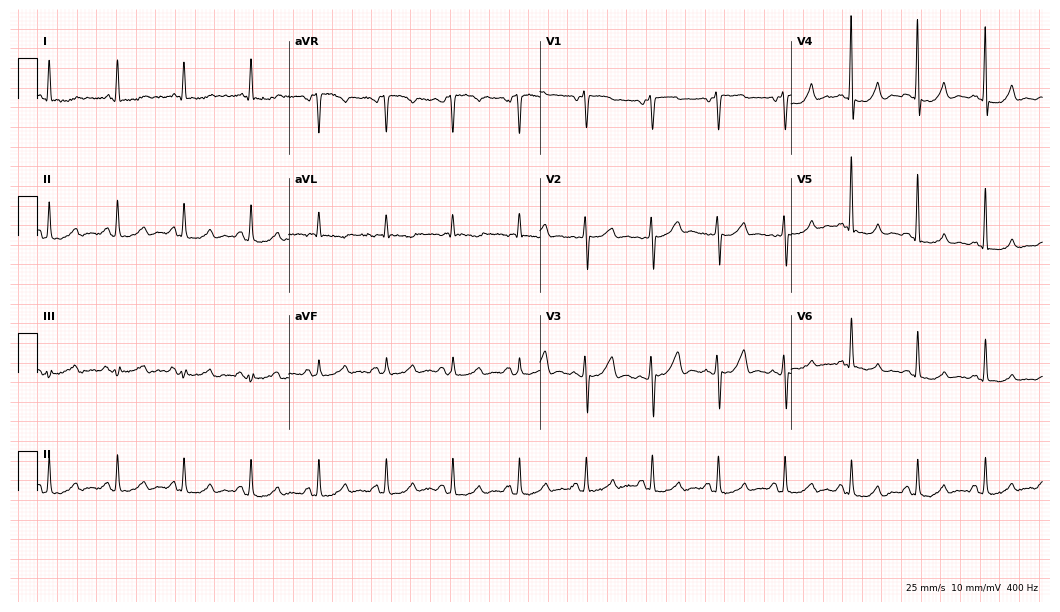
12-lead ECG from a 71-year-old female patient. Recorded interpretation: within normal limits.